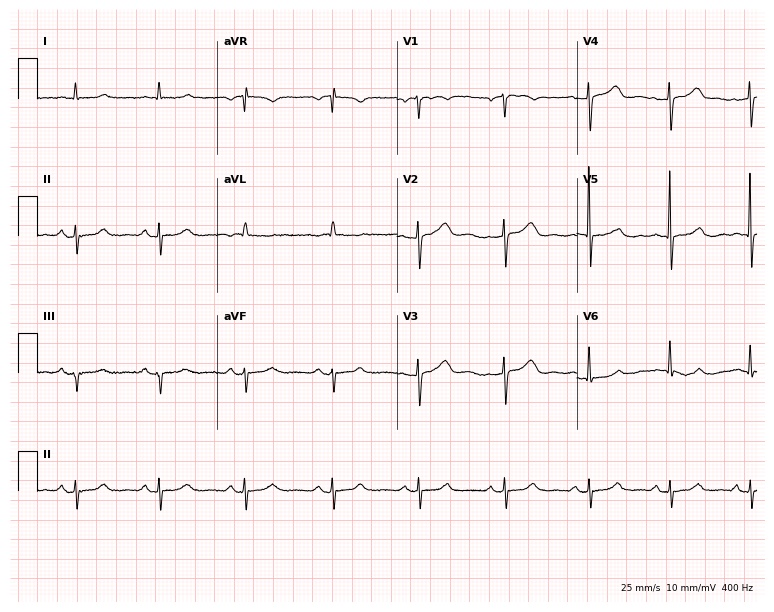
12-lead ECG from a 64-year-old woman (7.3-second recording at 400 Hz). No first-degree AV block, right bundle branch block (RBBB), left bundle branch block (LBBB), sinus bradycardia, atrial fibrillation (AF) or sinus tachycardia recorded for this tracing.